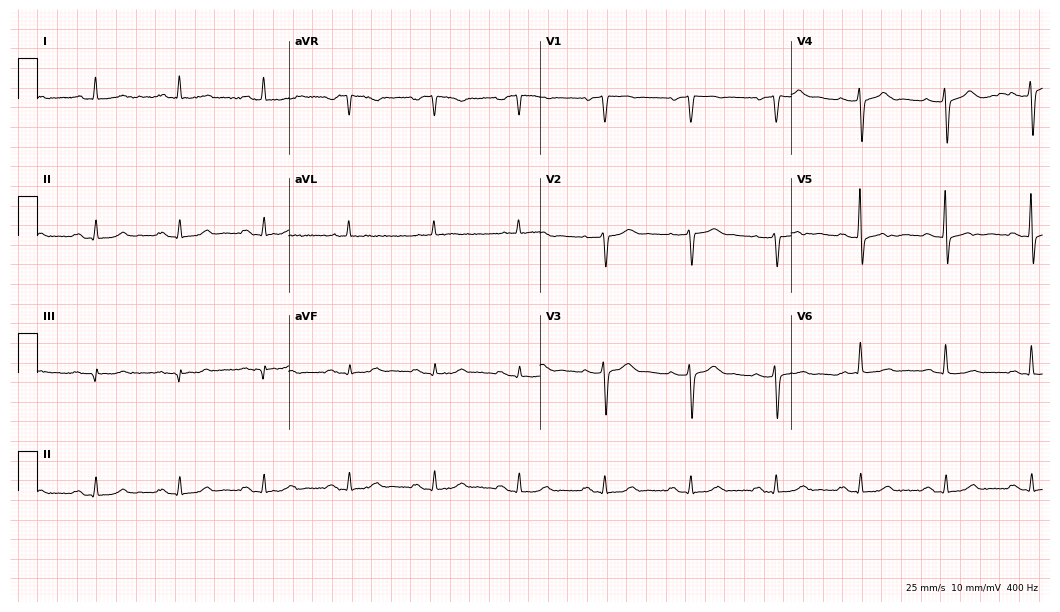
12-lead ECG from a 74-year-old male. No first-degree AV block, right bundle branch block, left bundle branch block, sinus bradycardia, atrial fibrillation or sinus tachycardia recorded for this tracing. Findings outside these six are not listed.